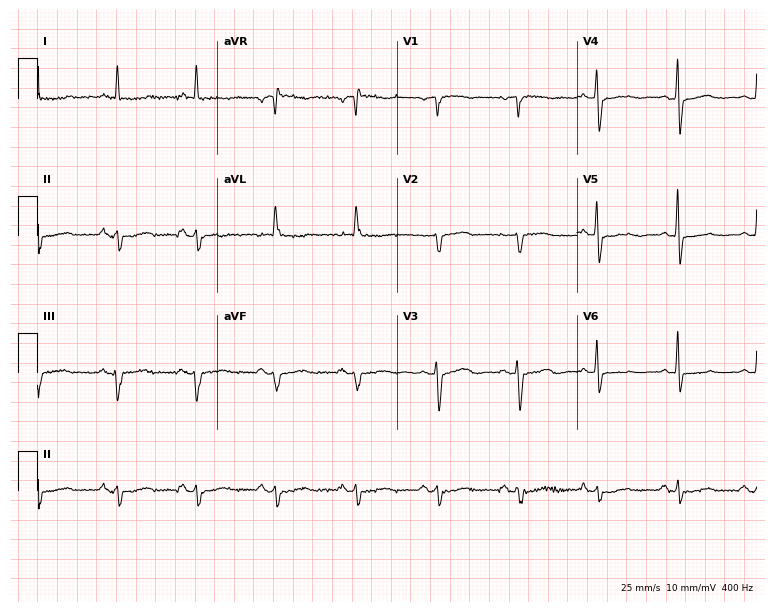
12-lead ECG from a female, 81 years old. No first-degree AV block, right bundle branch block (RBBB), left bundle branch block (LBBB), sinus bradycardia, atrial fibrillation (AF) or sinus tachycardia recorded for this tracing. Other findings, if any, are not listed.